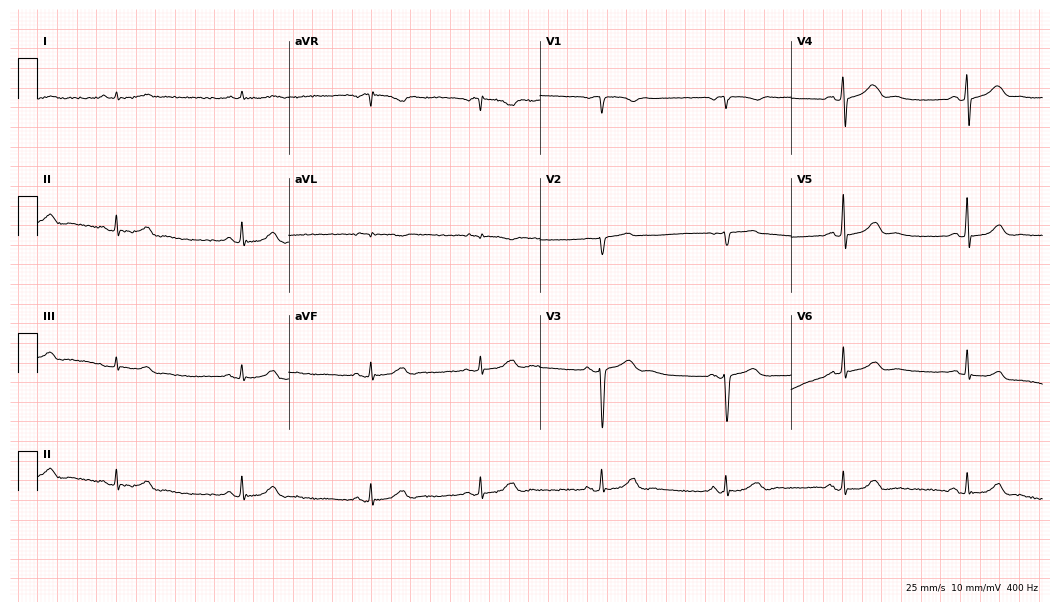
ECG — a woman, 60 years old. Screened for six findings — first-degree AV block, right bundle branch block, left bundle branch block, sinus bradycardia, atrial fibrillation, sinus tachycardia — none is recorded. Only these six findings were labelled.